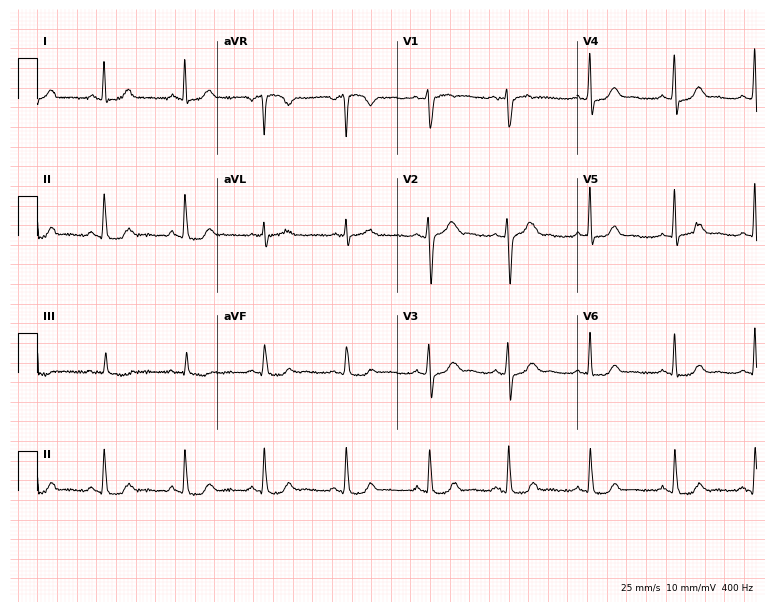
12-lead ECG from a 33-year-old female patient (7.3-second recording at 400 Hz). No first-degree AV block, right bundle branch block, left bundle branch block, sinus bradycardia, atrial fibrillation or sinus tachycardia recorded for this tracing.